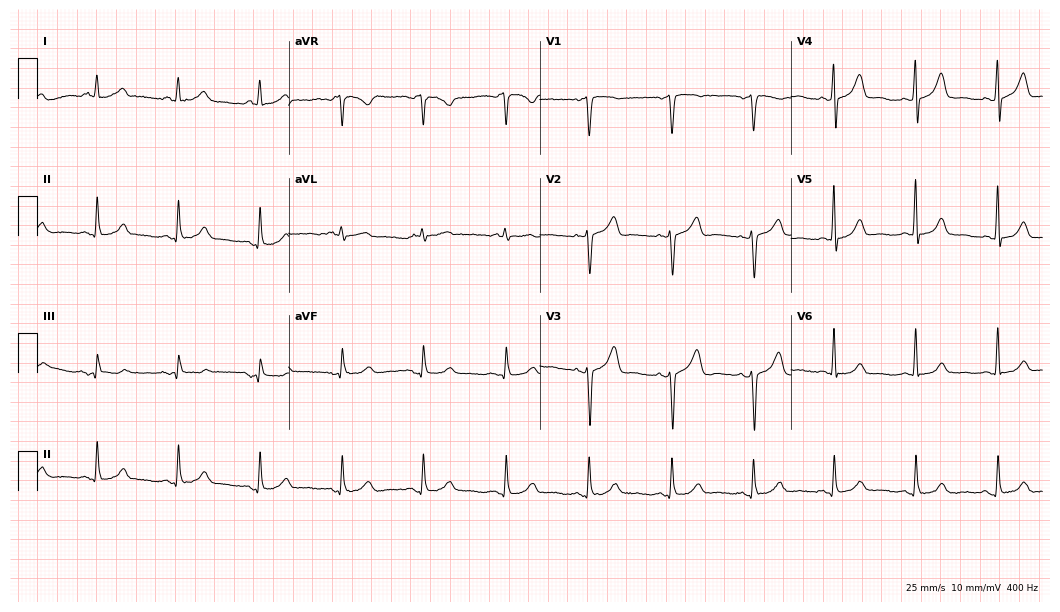
Standard 12-lead ECG recorded from a male patient, 63 years old. None of these six findings is recorded: first-degree AV block, right bundle branch block, left bundle branch block, sinus bradycardia, atrial fibrillation, sinus tachycardia.